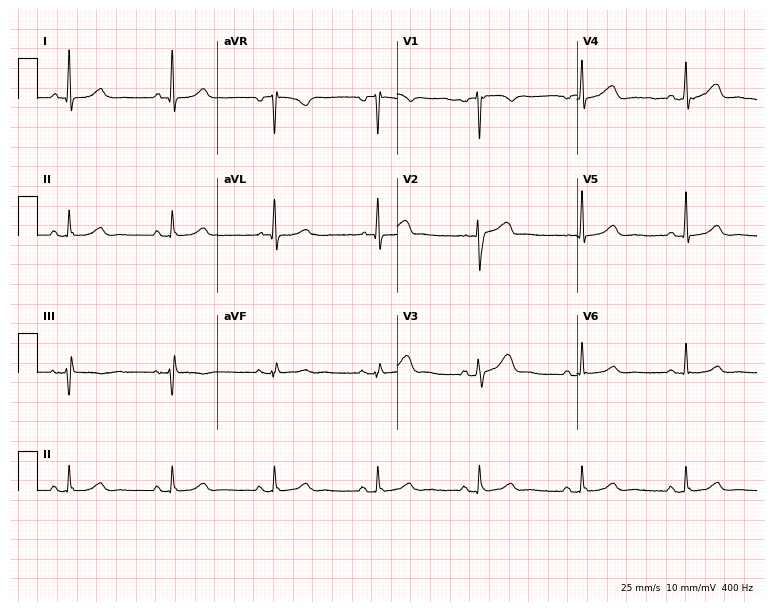
Standard 12-lead ECG recorded from a male, 63 years old. Read as a normal ECG.